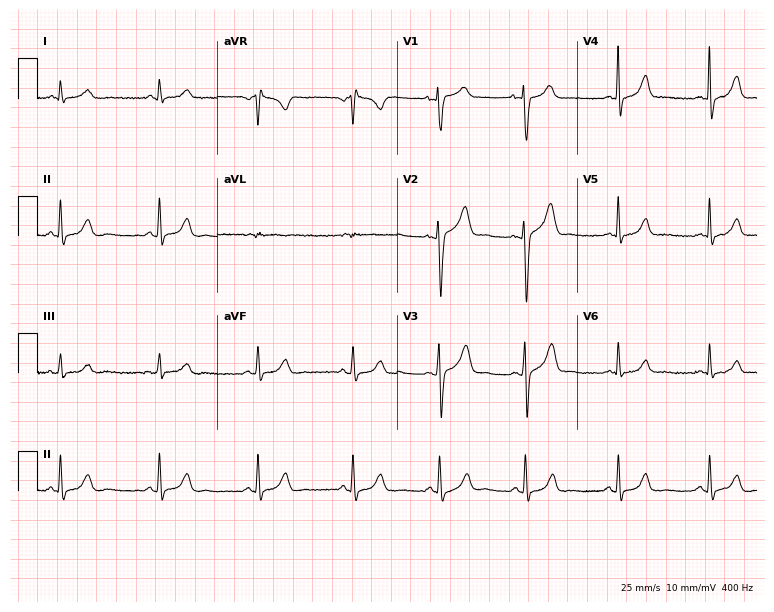
ECG — a male, 50 years old. Screened for six findings — first-degree AV block, right bundle branch block, left bundle branch block, sinus bradycardia, atrial fibrillation, sinus tachycardia — none is recorded. Other findings, if any, are not listed.